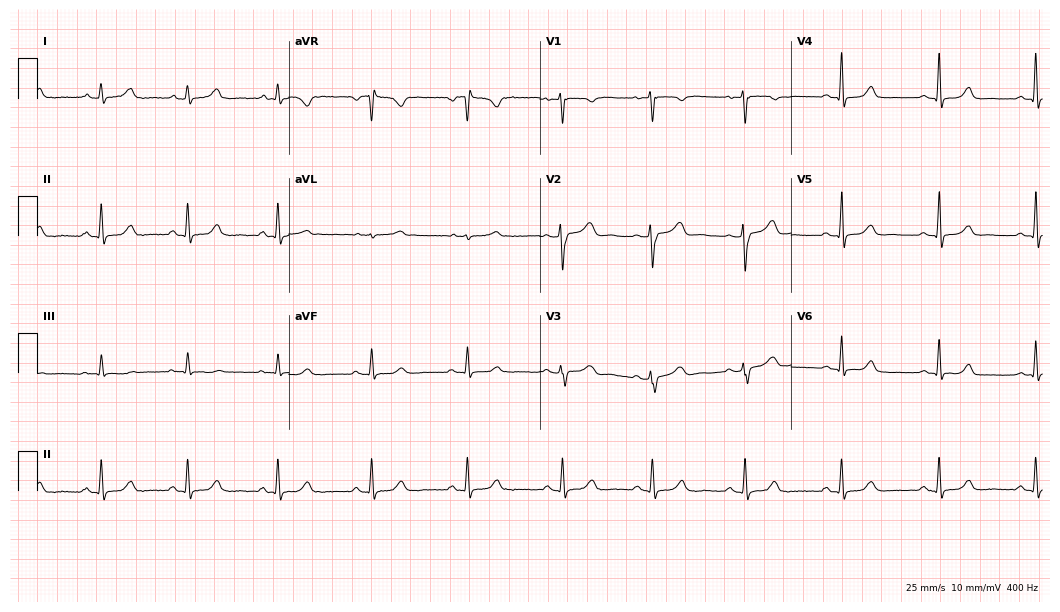
Standard 12-lead ECG recorded from a 45-year-old female patient (10.2-second recording at 400 Hz). Read as a normal ECG.